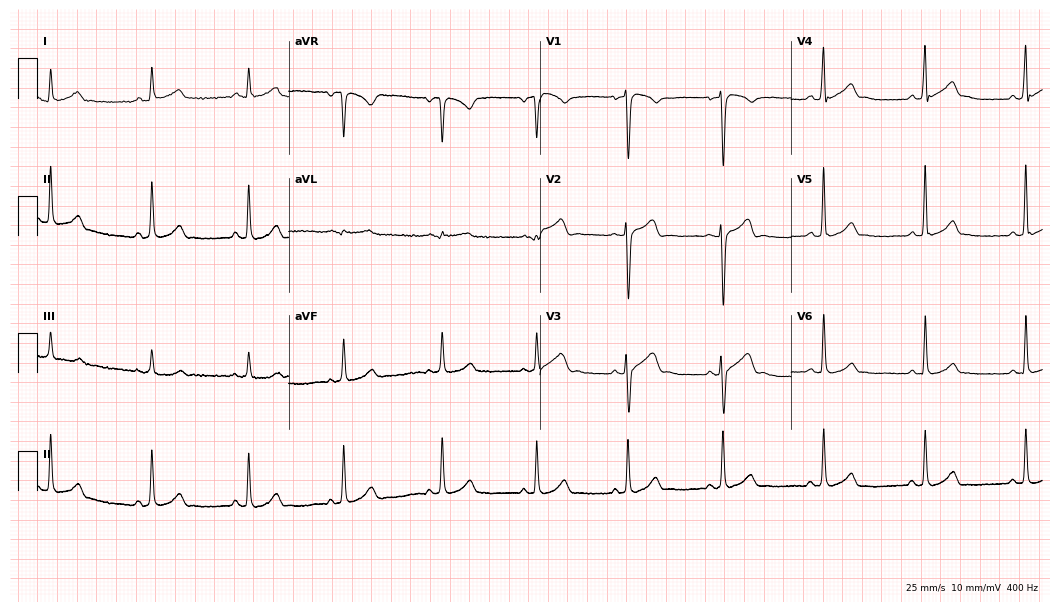
ECG (10.2-second recording at 400 Hz) — a 34-year-old male patient. Labelled as a normal ECG.